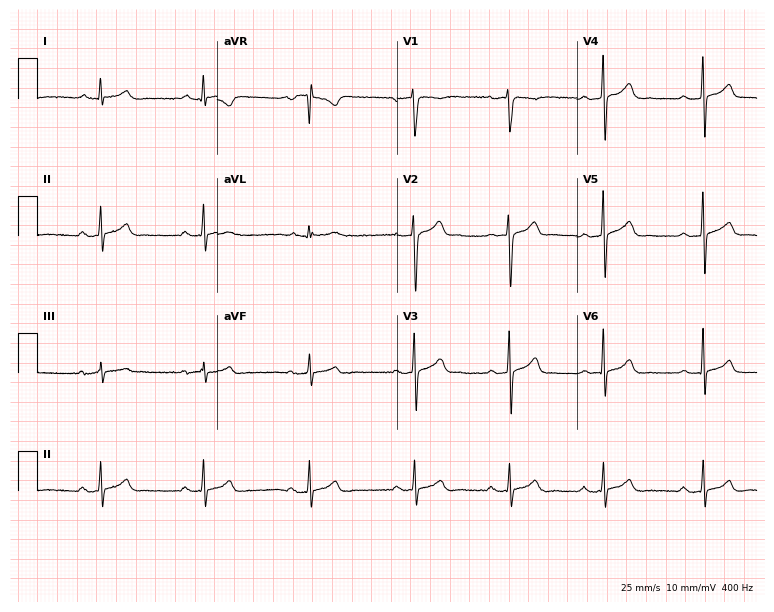
ECG (7.3-second recording at 400 Hz) — a 24-year-old male patient. Labelled as a normal ECG.